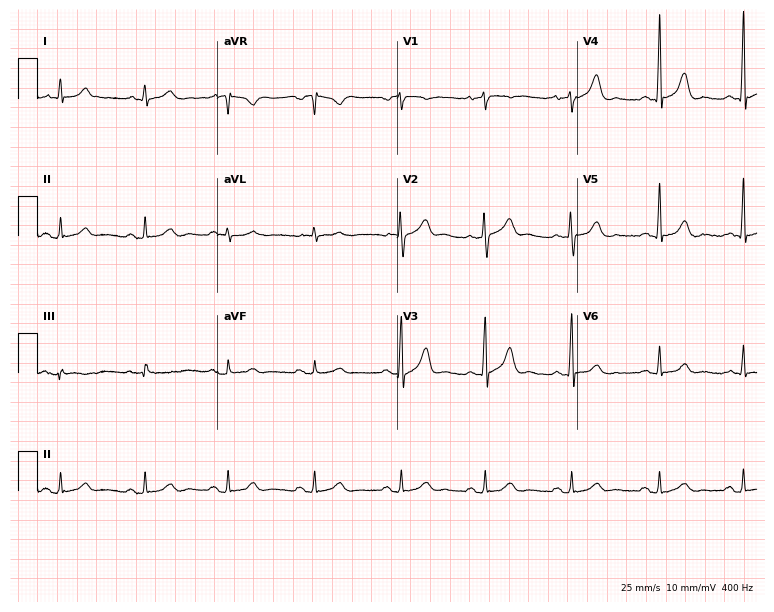
Resting 12-lead electrocardiogram (7.3-second recording at 400 Hz). Patient: a 60-year-old male. Read as a normal ECG.